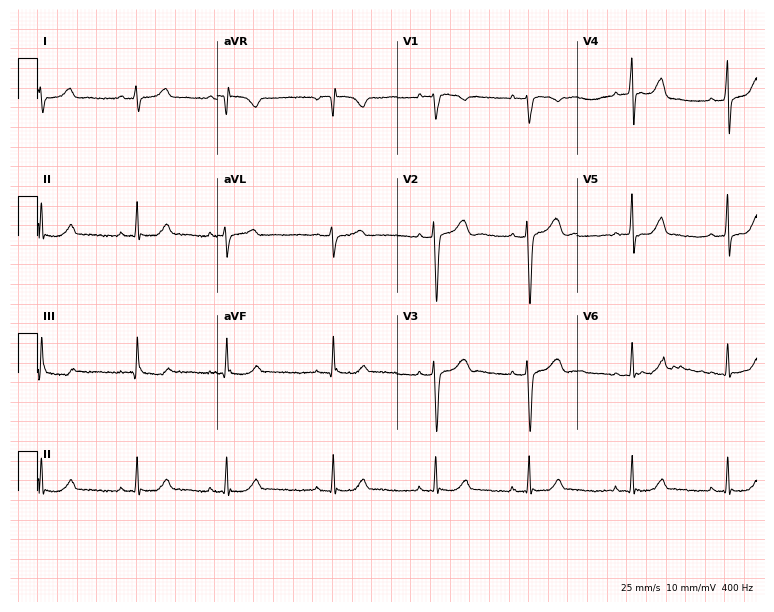
Standard 12-lead ECG recorded from a female patient, 25 years old. None of these six findings is recorded: first-degree AV block, right bundle branch block, left bundle branch block, sinus bradycardia, atrial fibrillation, sinus tachycardia. Only these six findings were labelled.